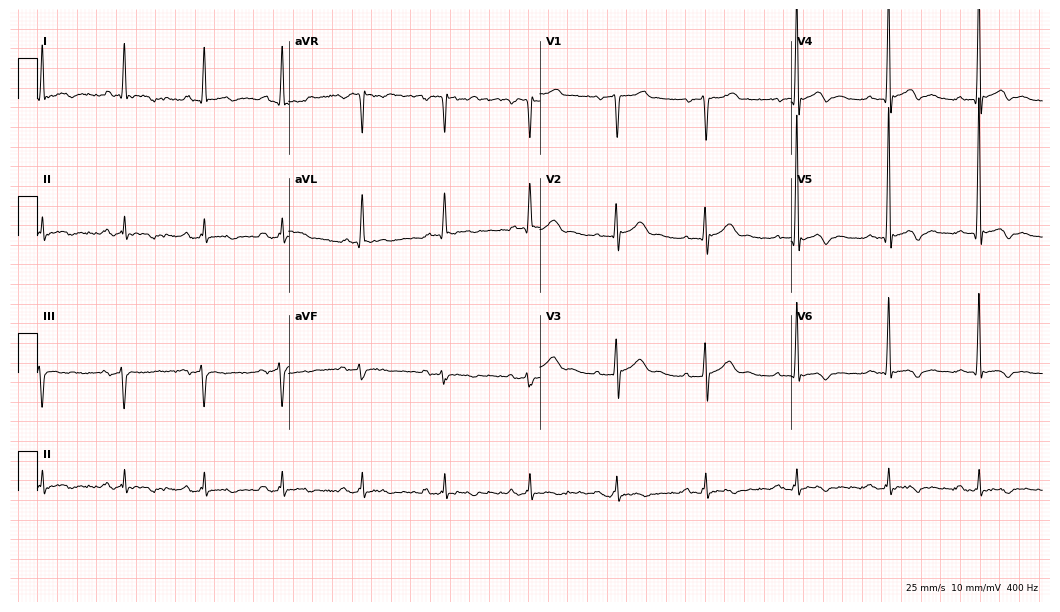
12-lead ECG (10.2-second recording at 400 Hz) from a 65-year-old male patient. Screened for six findings — first-degree AV block, right bundle branch block, left bundle branch block, sinus bradycardia, atrial fibrillation, sinus tachycardia — none is recorded. Only these six findings were labelled.